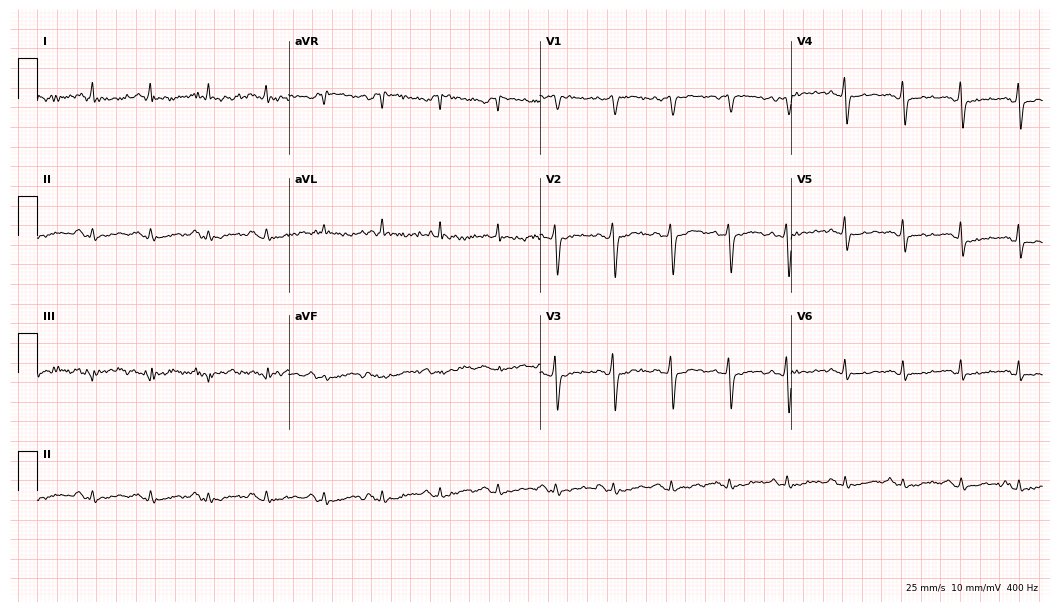
Electrocardiogram, a female patient, 52 years old. Of the six screened findings (first-degree AV block, right bundle branch block, left bundle branch block, sinus bradycardia, atrial fibrillation, sinus tachycardia), none is recorded. Only these six findings were labelled.